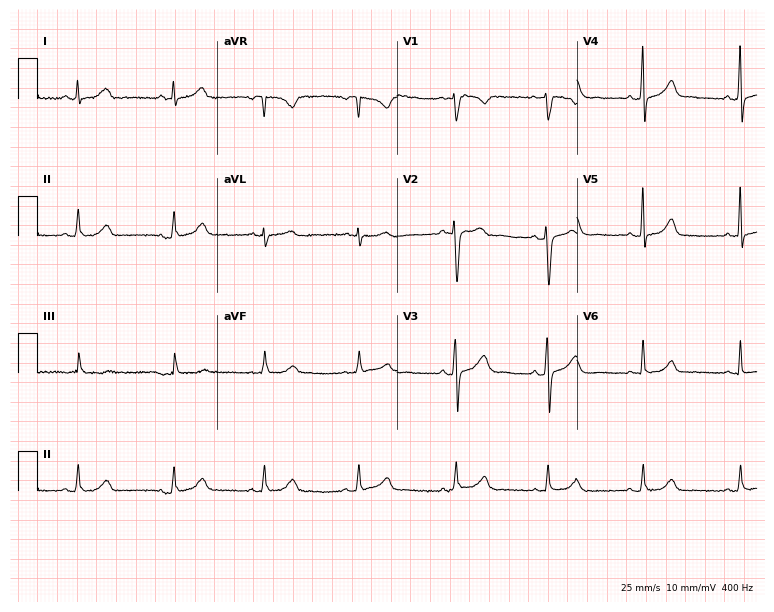
Resting 12-lead electrocardiogram (7.3-second recording at 400 Hz). Patient: a 20-year-old woman. None of these six findings is recorded: first-degree AV block, right bundle branch block, left bundle branch block, sinus bradycardia, atrial fibrillation, sinus tachycardia. Other findings, if any, are not listed.